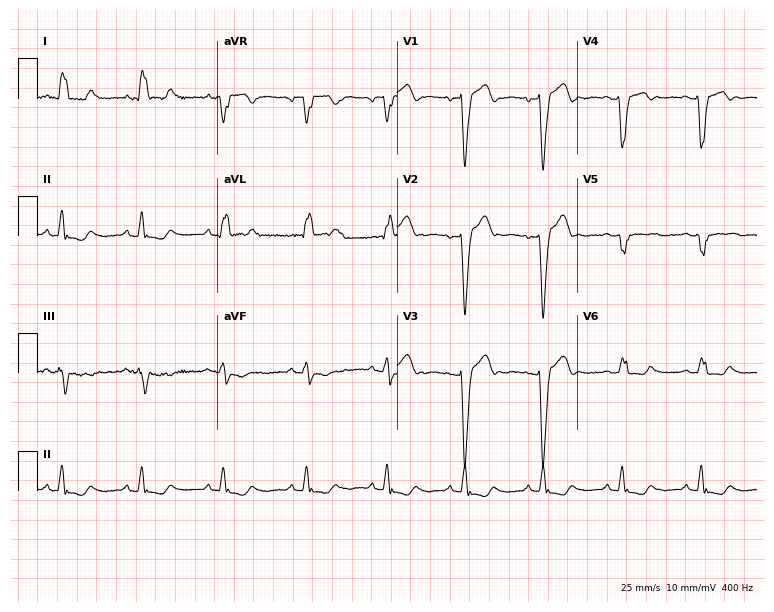
12-lead ECG from a 48-year-old woman. No first-degree AV block, right bundle branch block (RBBB), left bundle branch block (LBBB), sinus bradycardia, atrial fibrillation (AF) or sinus tachycardia recorded for this tracing. Only these six findings were labelled.